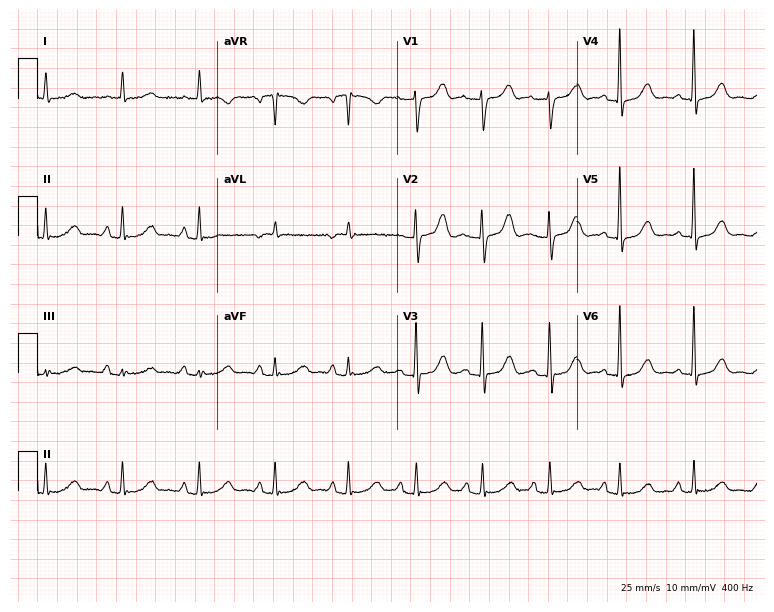
12-lead ECG (7.3-second recording at 400 Hz) from a 71-year-old woman. Labelled as a normal ECG.